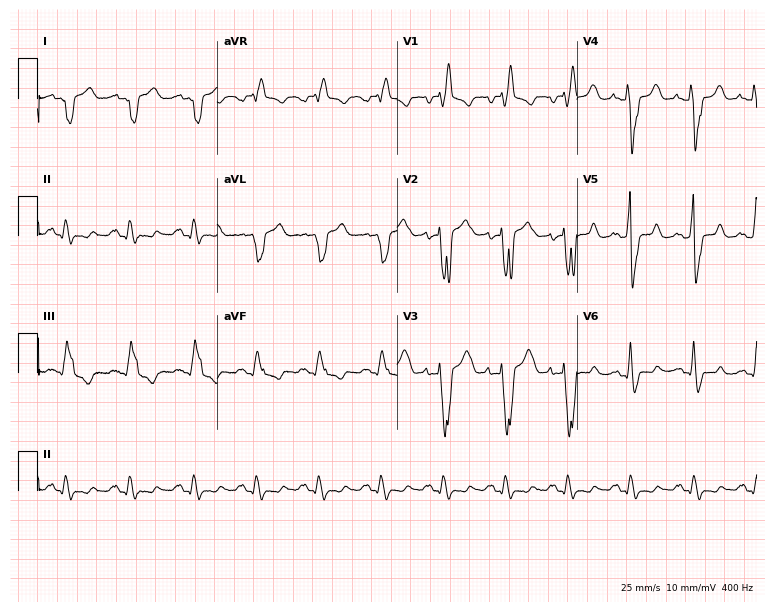
Electrocardiogram (7.3-second recording at 400 Hz), a male, 47 years old. Interpretation includes right bundle branch block.